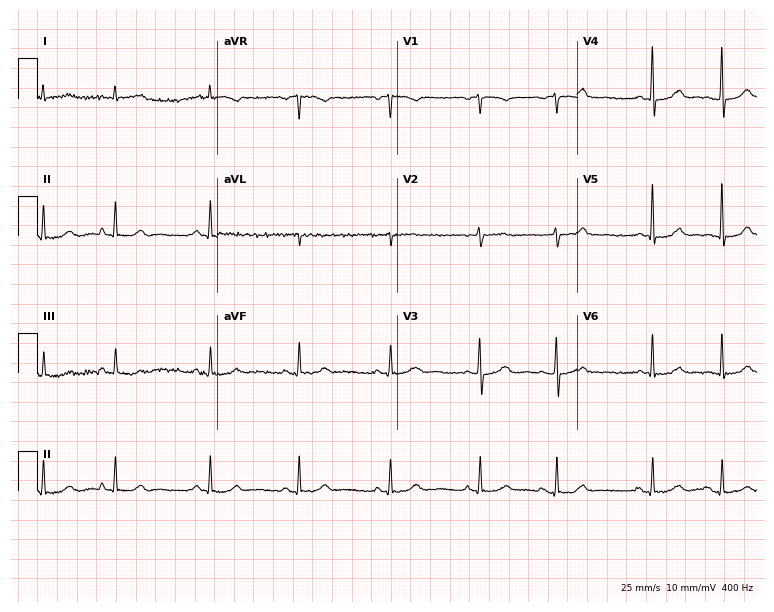
12-lead ECG from a male patient, 69 years old. Labelled as a normal ECG.